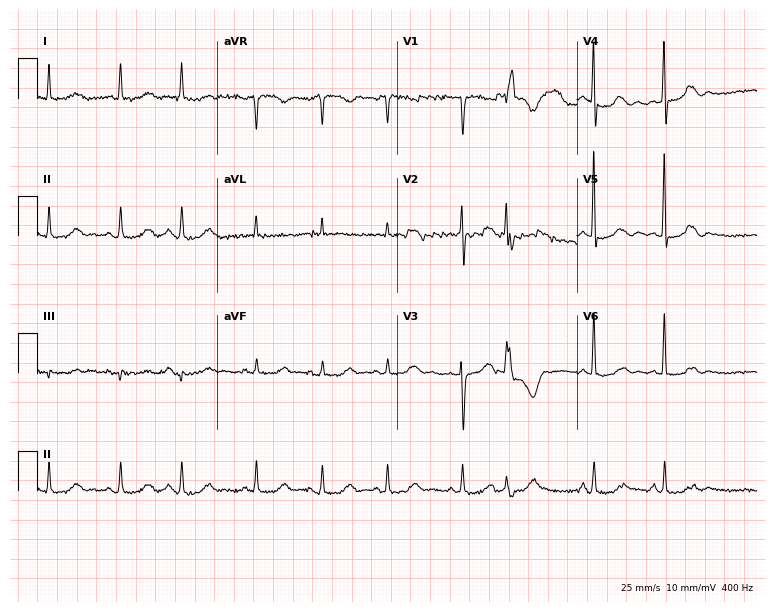
12-lead ECG from a 64-year-old woman (7.3-second recording at 400 Hz). No first-degree AV block, right bundle branch block (RBBB), left bundle branch block (LBBB), sinus bradycardia, atrial fibrillation (AF) or sinus tachycardia recorded for this tracing.